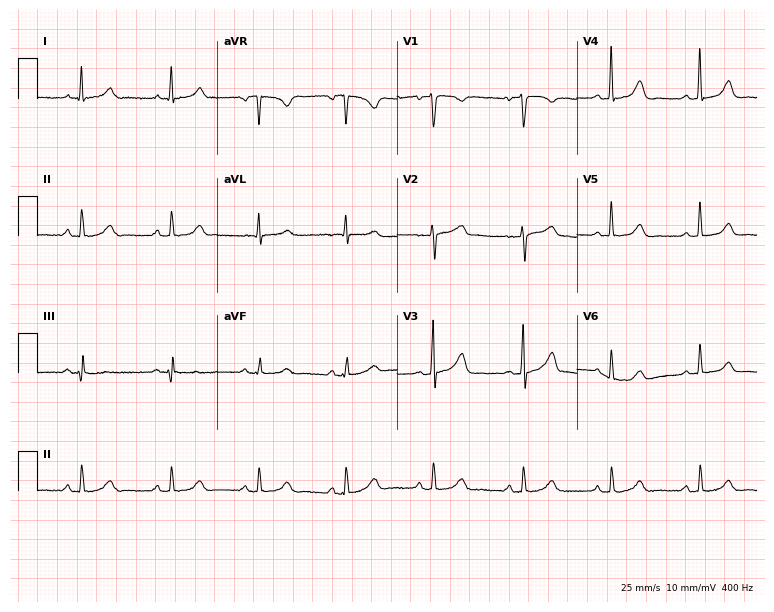
12-lead ECG from a 44-year-old female (7.3-second recording at 400 Hz). Recorded interpretation: within normal limits.